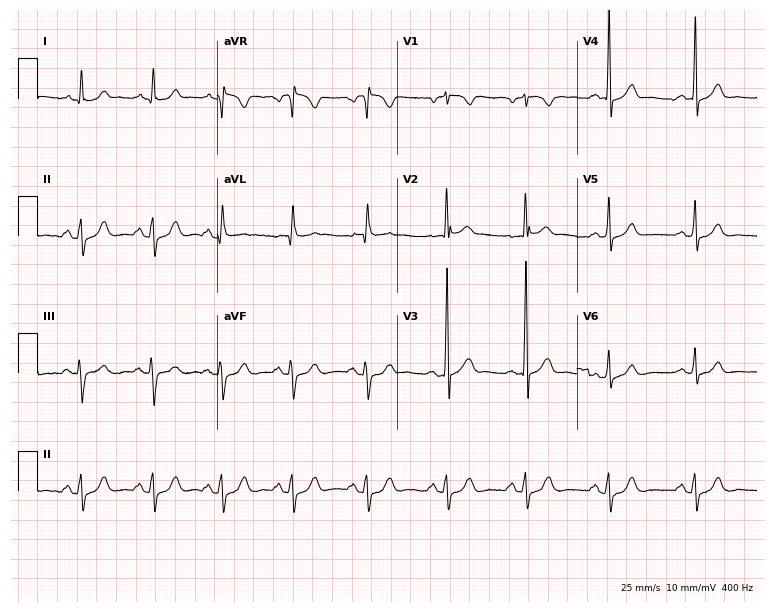
Electrocardiogram, a 56-year-old male patient. Of the six screened findings (first-degree AV block, right bundle branch block, left bundle branch block, sinus bradycardia, atrial fibrillation, sinus tachycardia), none is recorded.